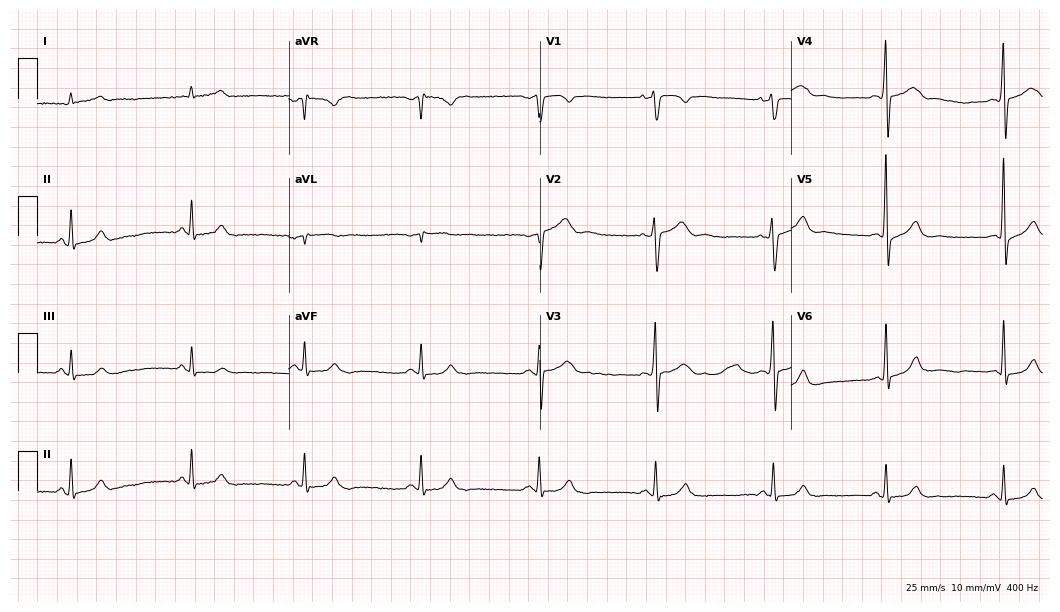
Electrocardiogram, a 45-year-old male. Of the six screened findings (first-degree AV block, right bundle branch block, left bundle branch block, sinus bradycardia, atrial fibrillation, sinus tachycardia), none is recorded. Only these six findings were labelled.